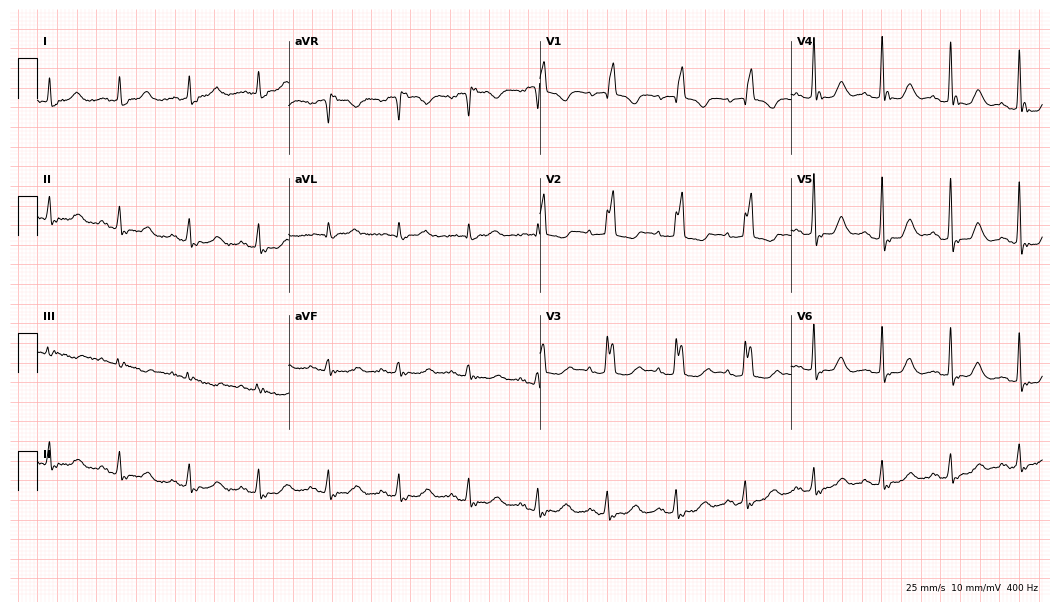
12-lead ECG from a woman, 72 years old (10.2-second recording at 400 Hz). Shows right bundle branch block (RBBB).